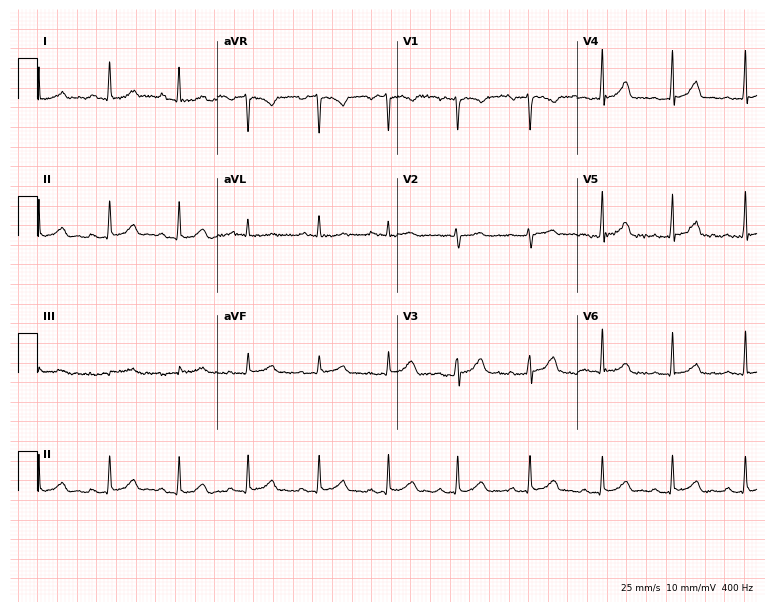
Standard 12-lead ECG recorded from a female patient, 42 years old (7.3-second recording at 400 Hz). Read as a normal ECG.